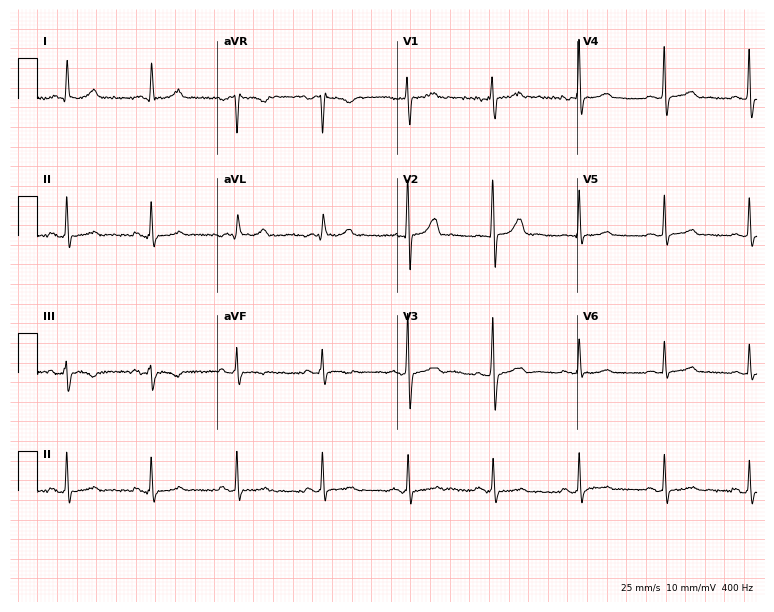
Standard 12-lead ECG recorded from a 71-year-old female patient (7.3-second recording at 400 Hz). None of these six findings is recorded: first-degree AV block, right bundle branch block, left bundle branch block, sinus bradycardia, atrial fibrillation, sinus tachycardia. Only these six findings were labelled.